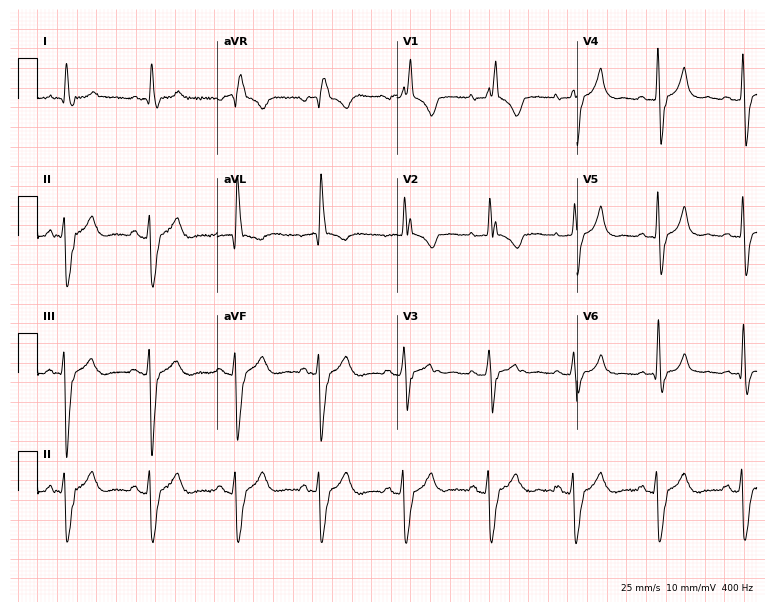
Resting 12-lead electrocardiogram. Patient: a female, 47 years old. None of these six findings is recorded: first-degree AV block, right bundle branch block, left bundle branch block, sinus bradycardia, atrial fibrillation, sinus tachycardia. Only these six findings were labelled.